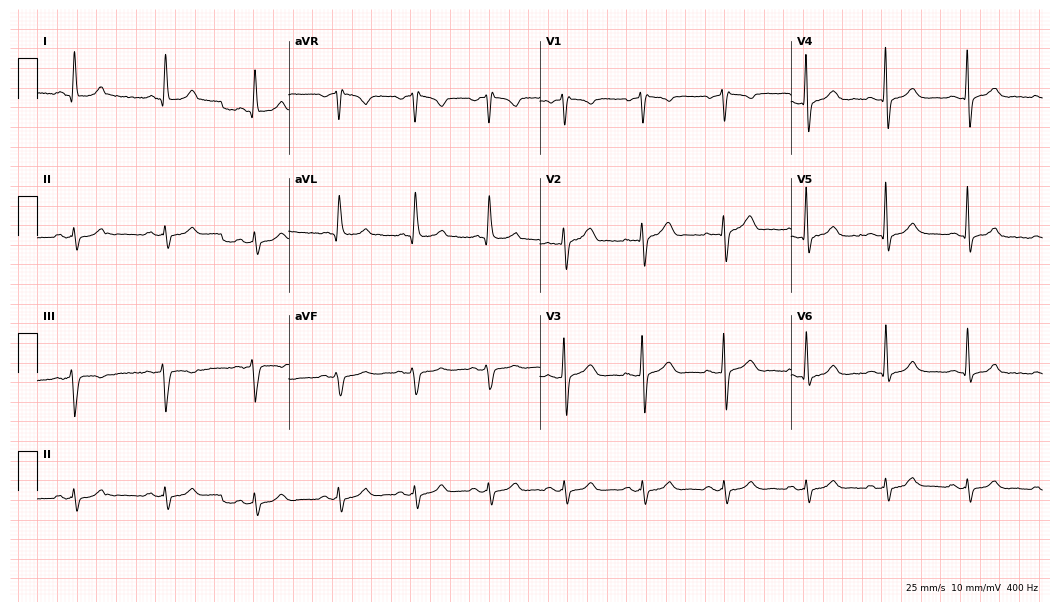
12-lead ECG from a male patient, 40 years old. Screened for six findings — first-degree AV block, right bundle branch block, left bundle branch block, sinus bradycardia, atrial fibrillation, sinus tachycardia — none is recorded.